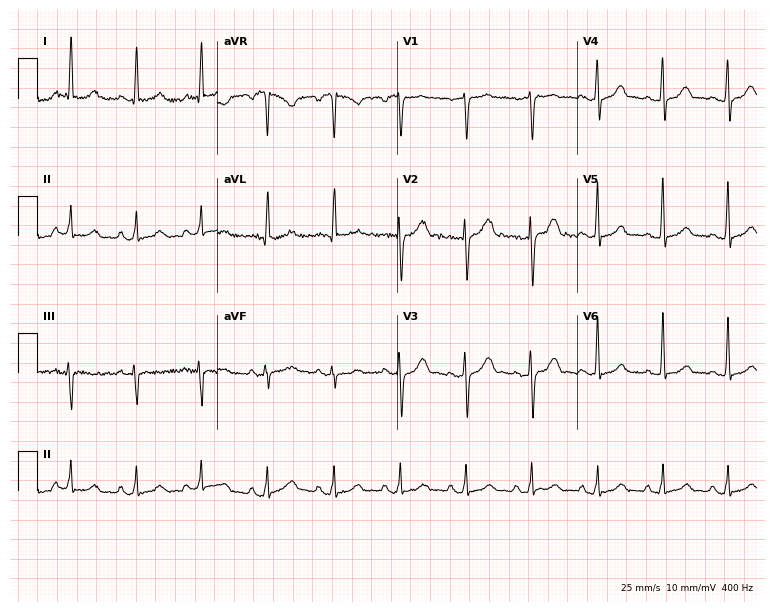
Resting 12-lead electrocardiogram (7.3-second recording at 400 Hz). Patient: a 50-year-old man. Read as a normal ECG.